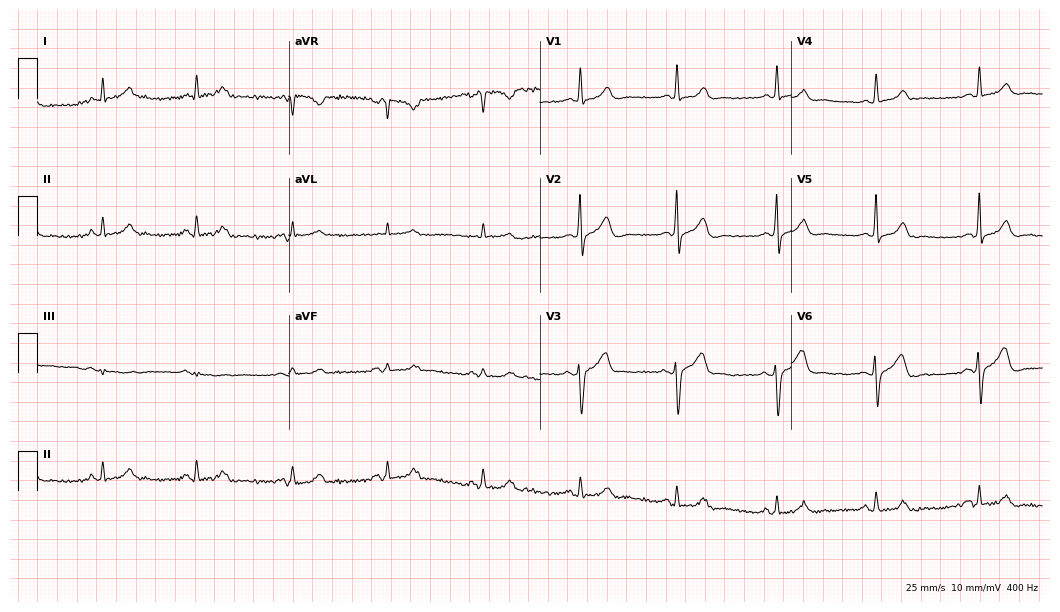
12-lead ECG from a 74-year-old female patient. Recorded interpretation: within normal limits.